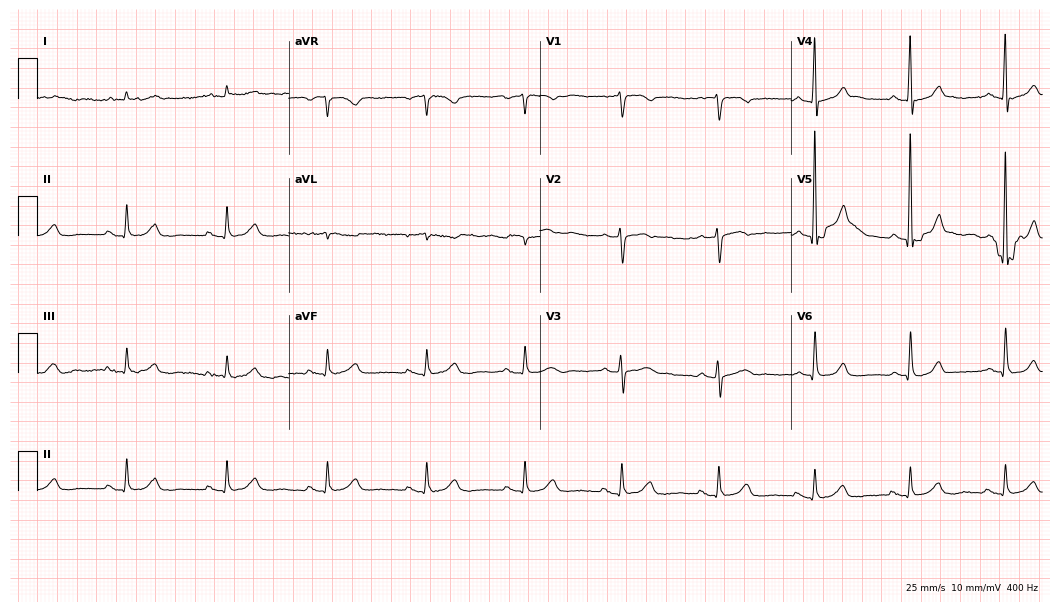
12-lead ECG from a 73-year-old man. No first-degree AV block, right bundle branch block, left bundle branch block, sinus bradycardia, atrial fibrillation or sinus tachycardia recorded for this tracing. Only these six findings were labelled.